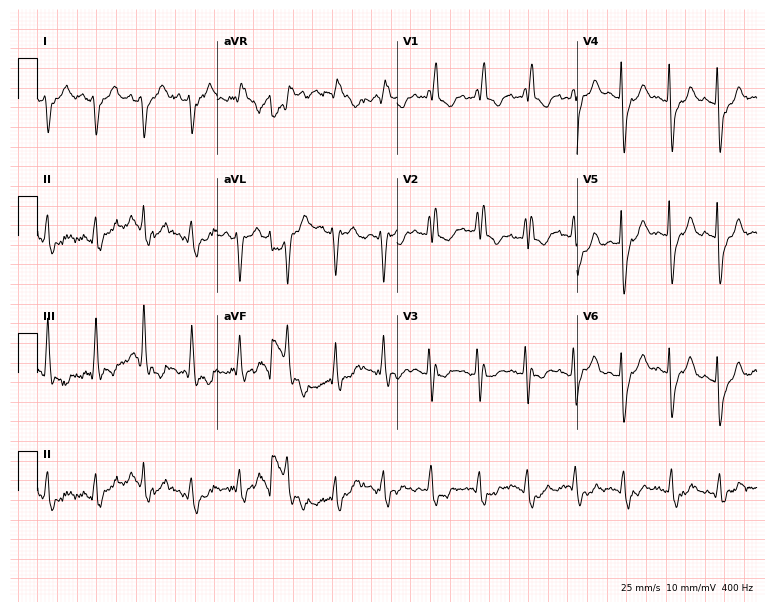
Electrocardiogram (7.3-second recording at 400 Hz), an 84-year-old male. Interpretation includes right bundle branch block.